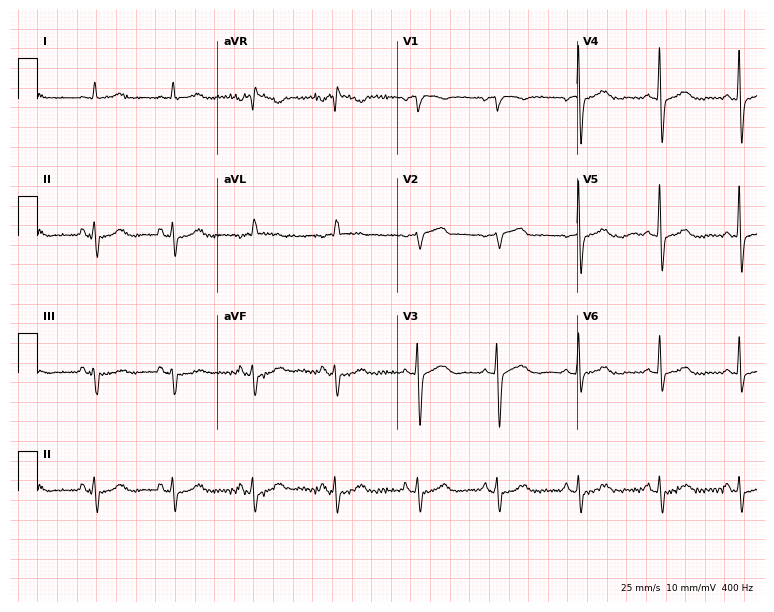
ECG — a 79-year-old female. Screened for six findings — first-degree AV block, right bundle branch block, left bundle branch block, sinus bradycardia, atrial fibrillation, sinus tachycardia — none is recorded.